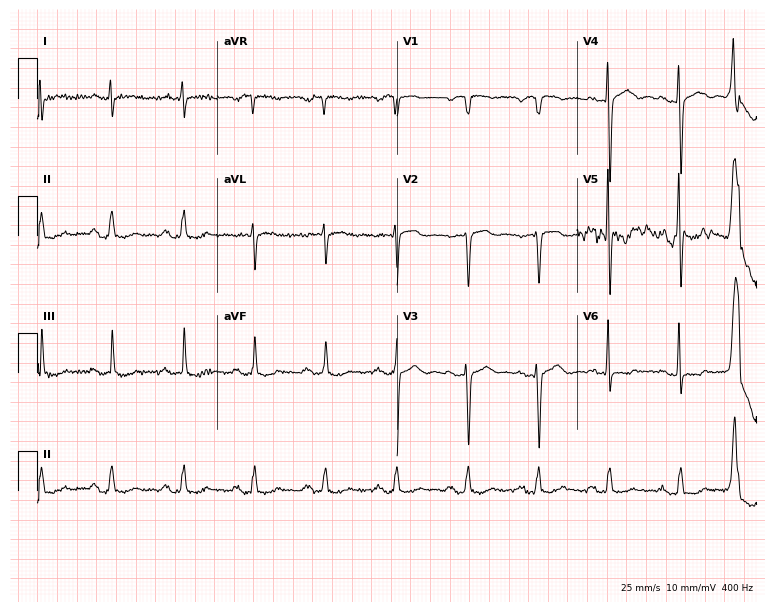
12-lead ECG from an 84-year-old male patient. No first-degree AV block, right bundle branch block (RBBB), left bundle branch block (LBBB), sinus bradycardia, atrial fibrillation (AF) or sinus tachycardia recorded for this tracing.